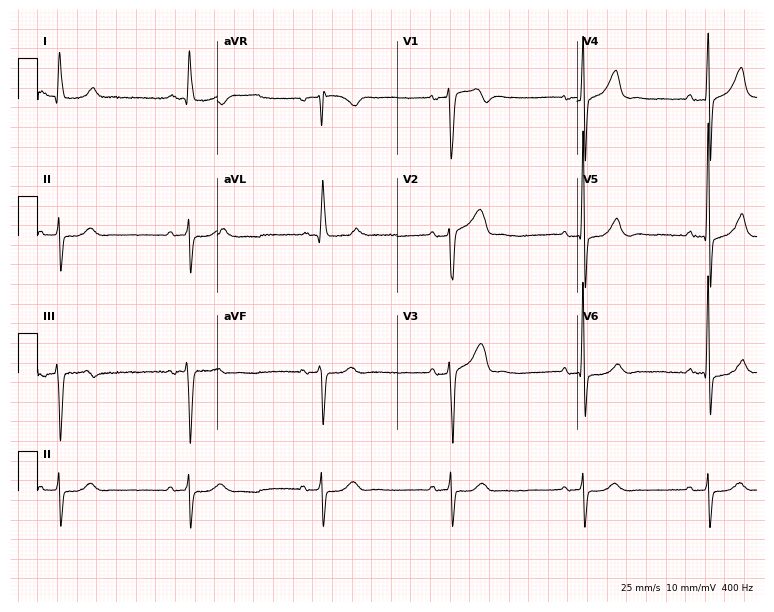
ECG — a 75-year-old male. Findings include sinus bradycardia (a sinus rate of 50 beats per minute or less).